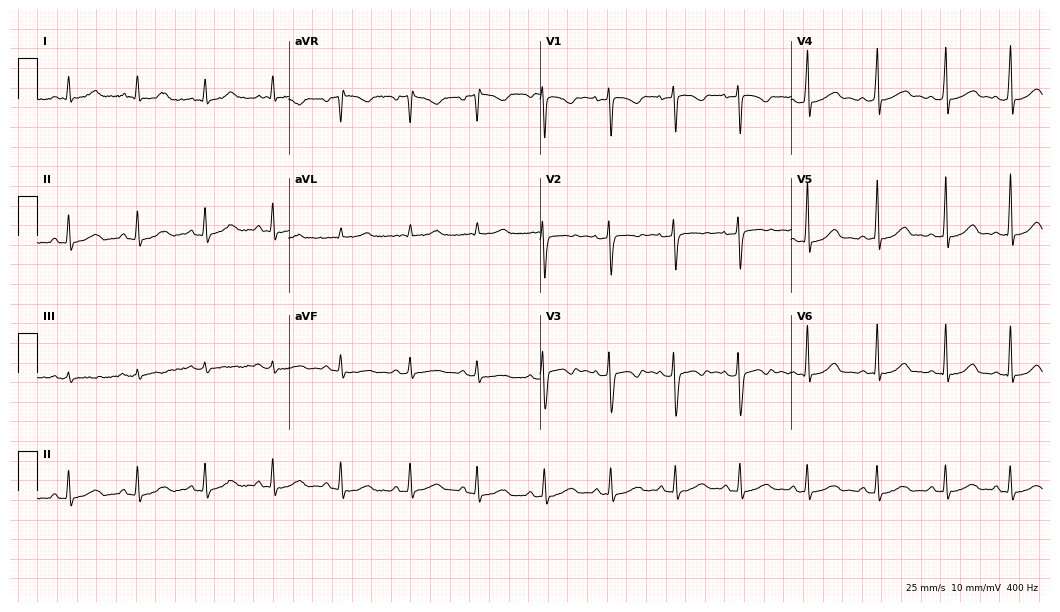
Standard 12-lead ECG recorded from a 34-year-old female patient. Read as a normal ECG.